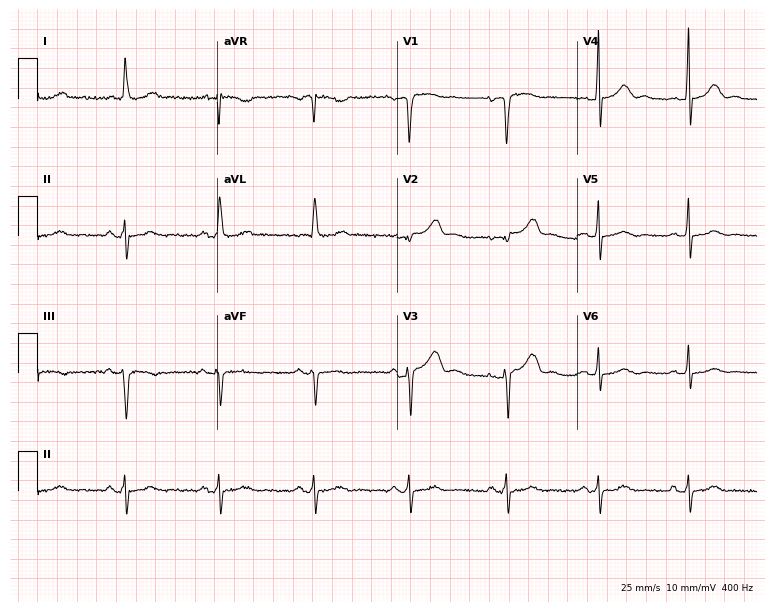
Resting 12-lead electrocardiogram (7.3-second recording at 400 Hz). Patient: a female, 78 years old. None of these six findings is recorded: first-degree AV block, right bundle branch block, left bundle branch block, sinus bradycardia, atrial fibrillation, sinus tachycardia.